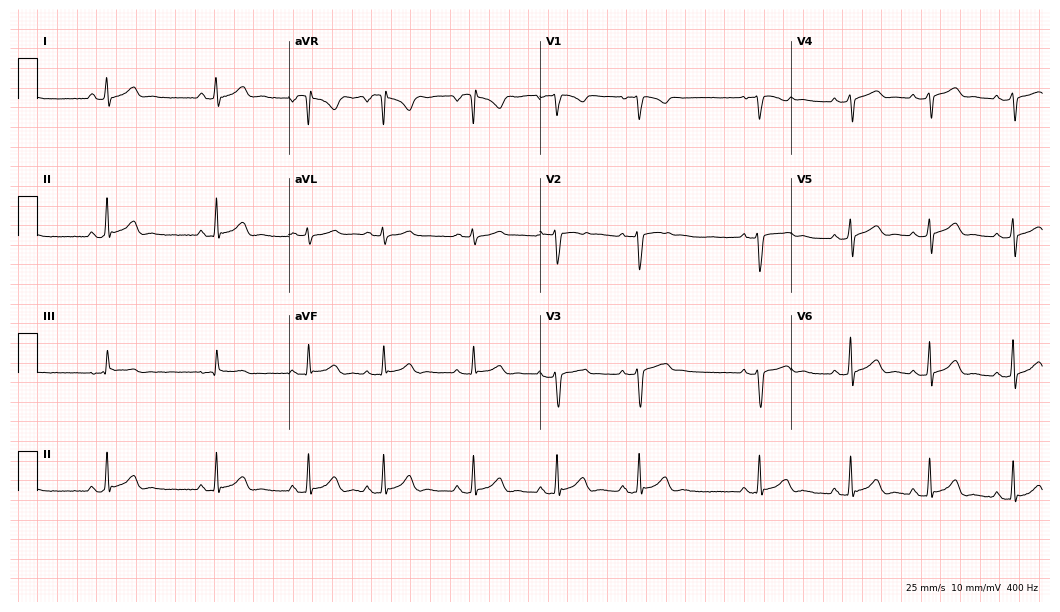
Resting 12-lead electrocardiogram (10.2-second recording at 400 Hz). Patient: a 20-year-old woman. Read as a normal ECG.